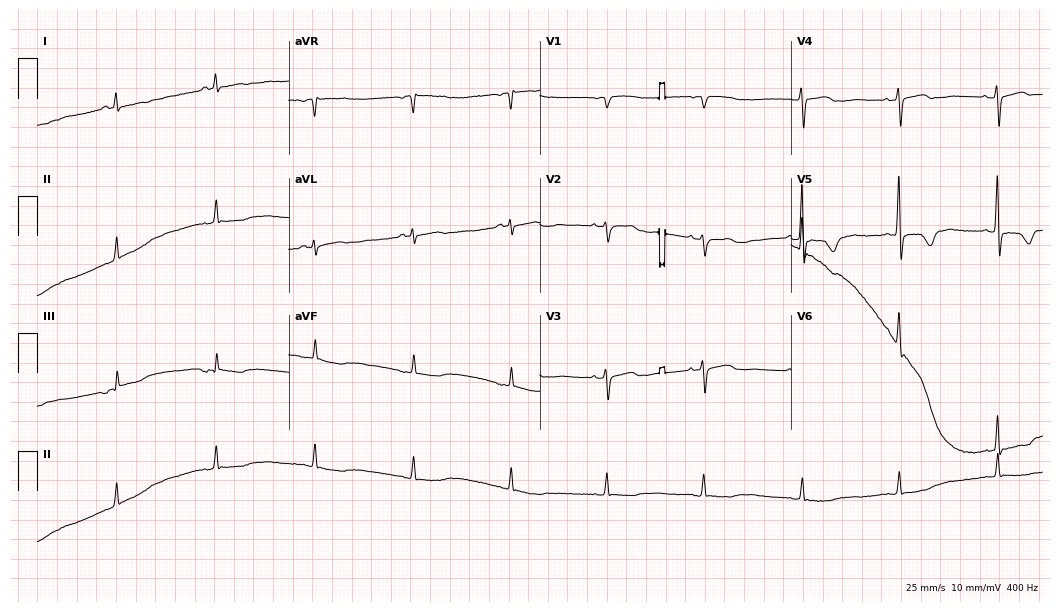
12-lead ECG (10.2-second recording at 400 Hz) from a 70-year-old female. Screened for six findings — first-degree AV block, right bundle branch block, left bundle branch block, sinus bradycardia, atrial fibrillation, sinus tachycardia — none is recorded.